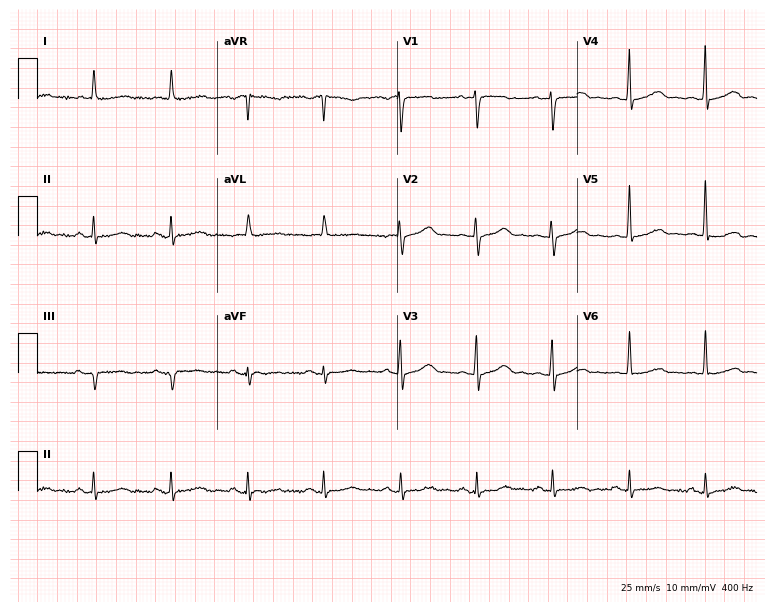
12-lead ECG from an 88-year-old female (7.3-second recording at 400 Hz). Recorded interpretation: within normal limits.